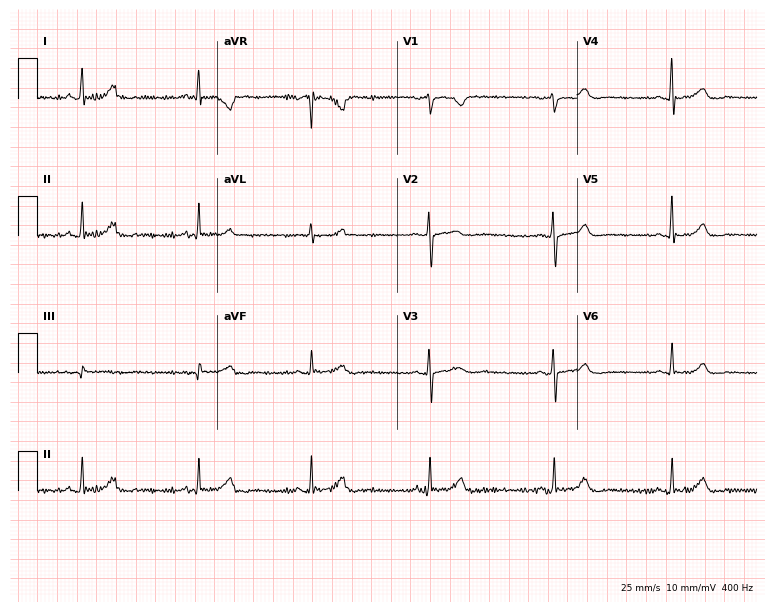
ECG — a 53-year-old female. Screened for six findings — first-degree AV block, right bundle branch block, left bundle branch block, sinus bradycardia, atrial fibrillation, sinus tachycardia — none is recorded.